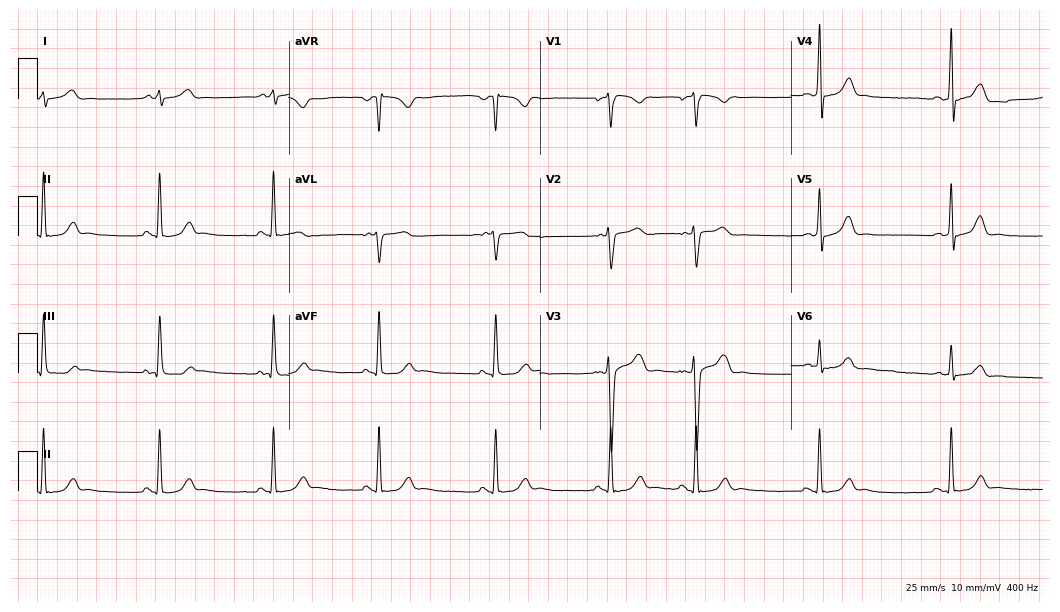
Resting 12-lead electrocardiogram (10.2-second recording at 400 Hz). Patient: a female, 25 years old. Read as a normal ECG.